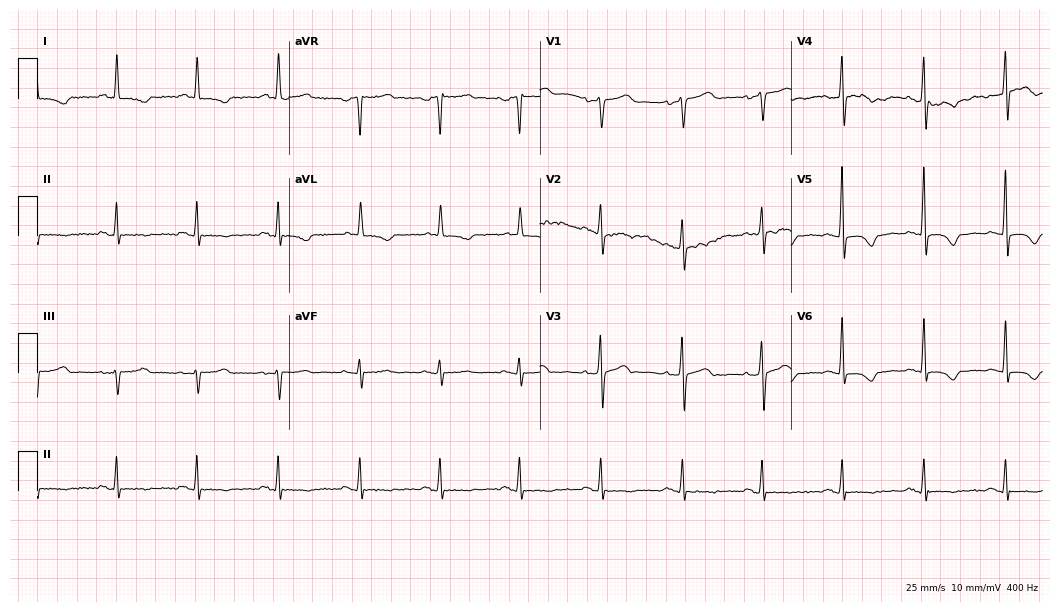
ECG — a female patient, 77 years old. Screened for six findings — first-degree AV block, right bundle branch block, left bundle branch block, sinus bradycardia, atrial fibrillation, sinus tachycardia — none is recorded. Other findings, if any, are not listed.